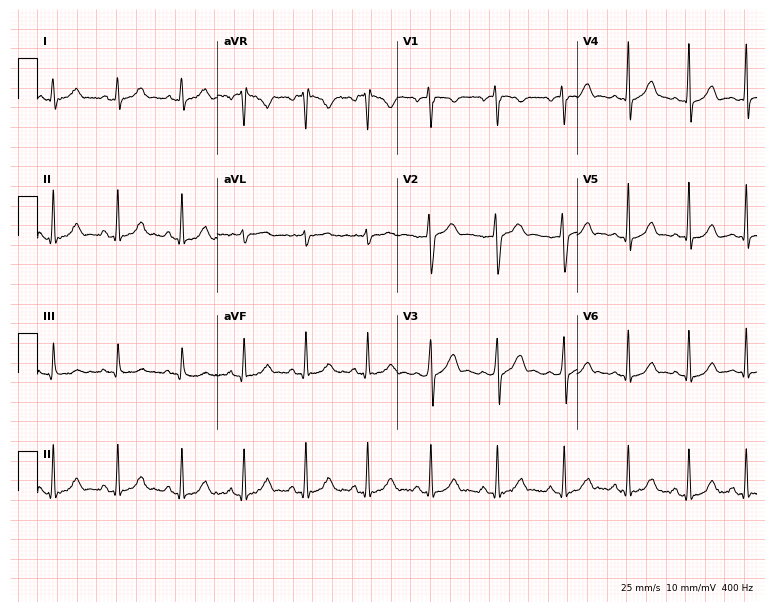
ECG (7.3-second recording at 400 Hz) — a 31-year-old male. Labelled as a normal ECG.